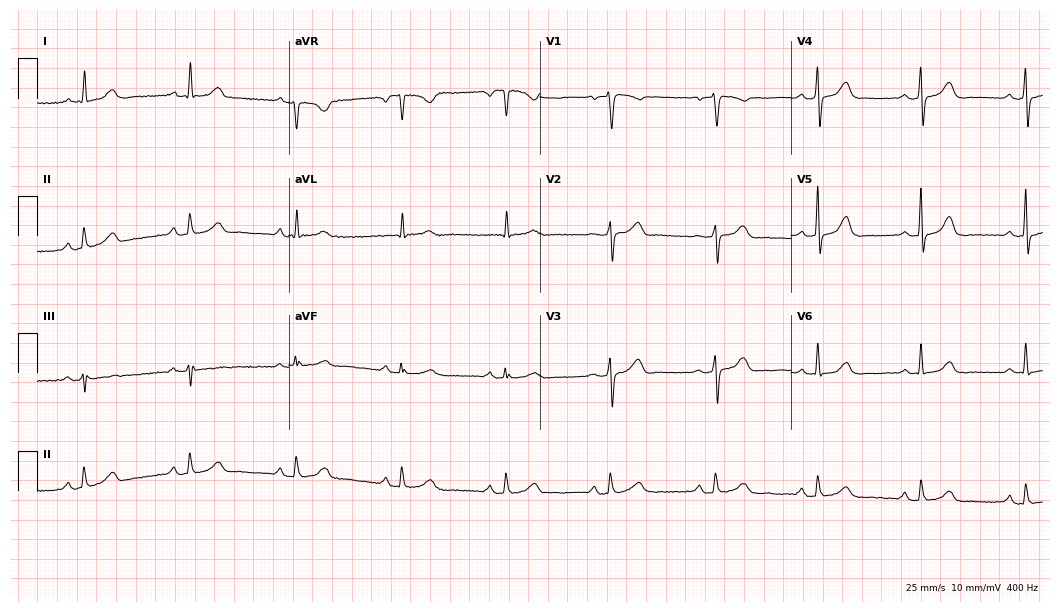
12-lead ECG from a female patient, 71 years old. Recorded interpretation: within normal limits.